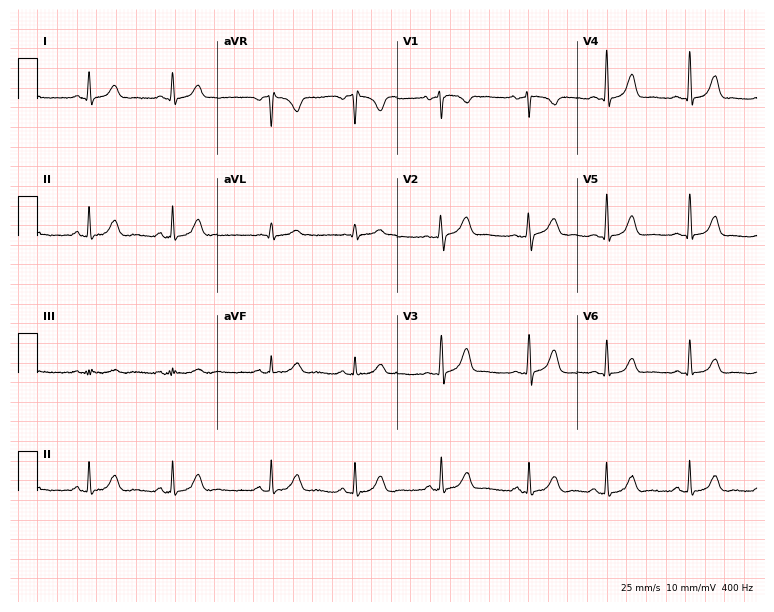
Standard 12-lead ECG recorded from a 36-year-old woman. None of these six findings is recorded: first-degree AV block, right bundle branch block, left bundle branch block, sinus bradycardia, atrial fibrillation, sinus tachycardia. Other findings, if any, are not listed.